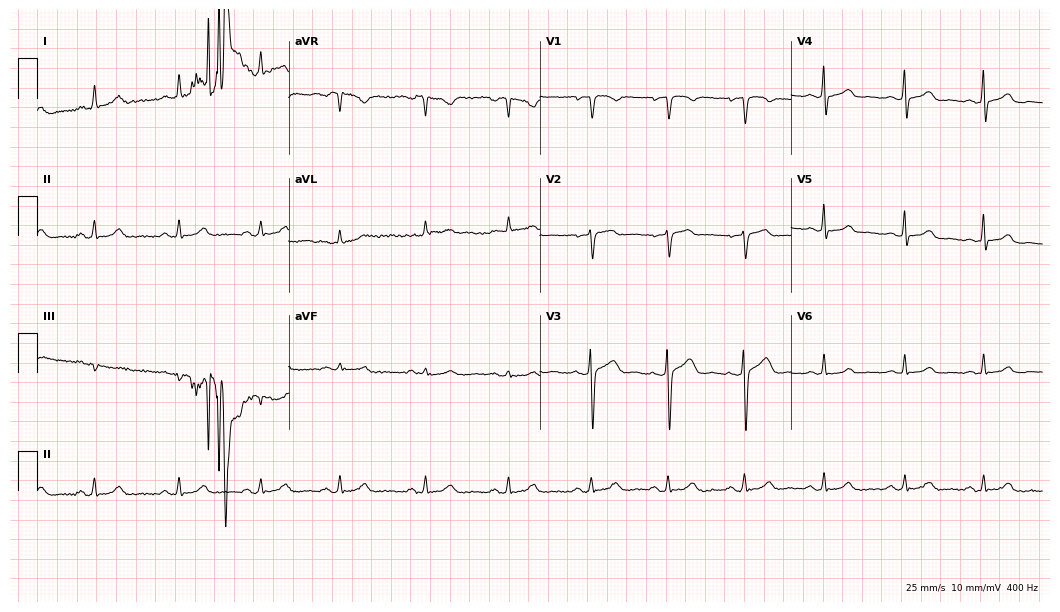
Resting 12-lead electrocardiogram (10.2-second recording at 400 Hz). Patient: a woman, 53 years old. Read as a normal ECG.